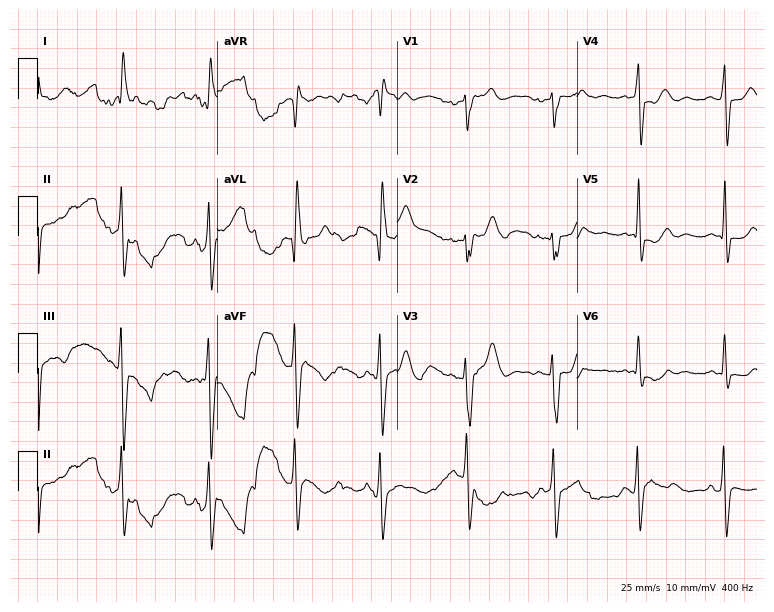
12-lead ECG from a female, 46 years old. Screened for six findings — first-degree AV block, right bundle branch block (RBBB), left bundle branch block (LBBB), sinus bradycardia, atrial fibrillation (AF), sinus tachycardia — none is recorded. Findings outside these six are not listed.